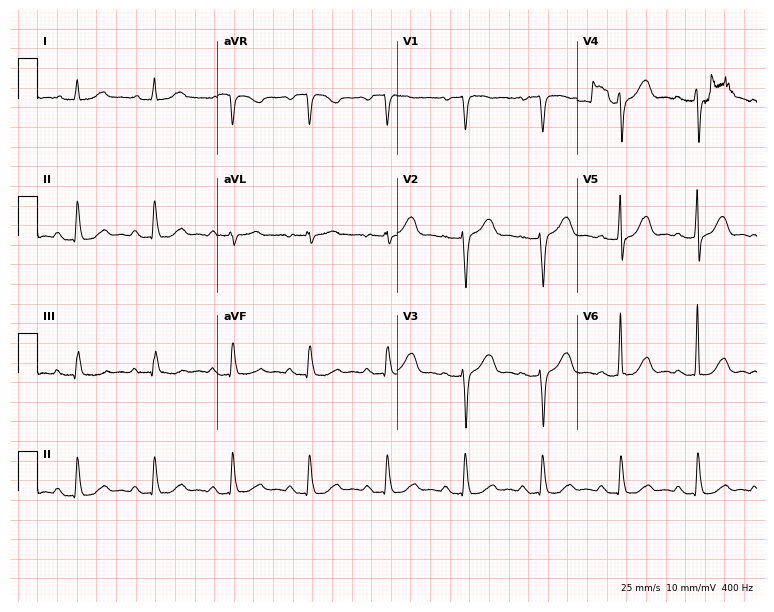
Resting 12-lead electrocardiogram (7.3-second recording at 400 Hz). Patient: a female, 61 years old. Read as a normal ECG.